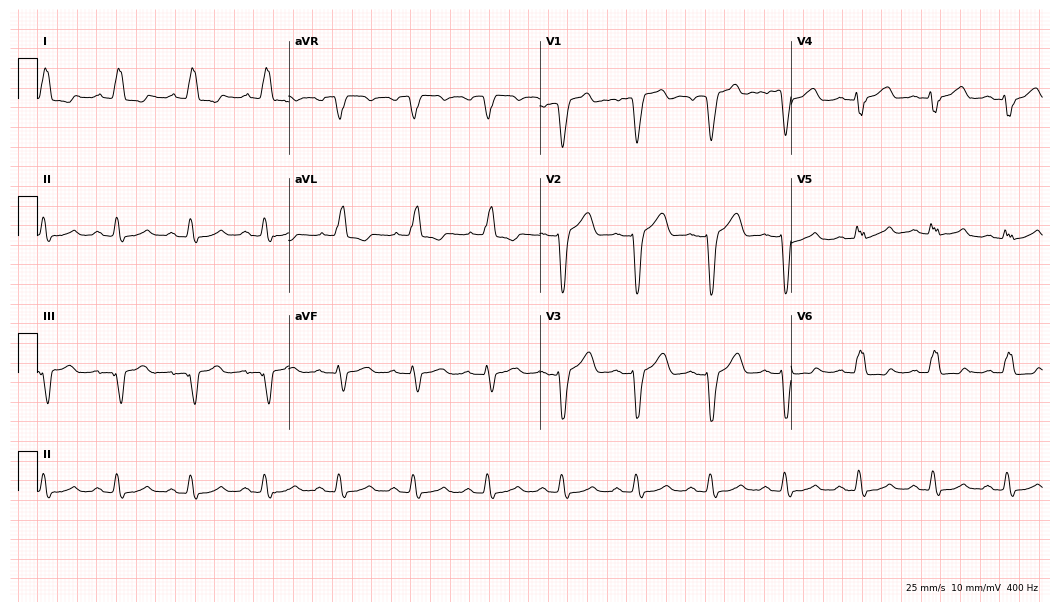
12-lead ECG from a male, 73 years old. Findings include left bundle branch block.